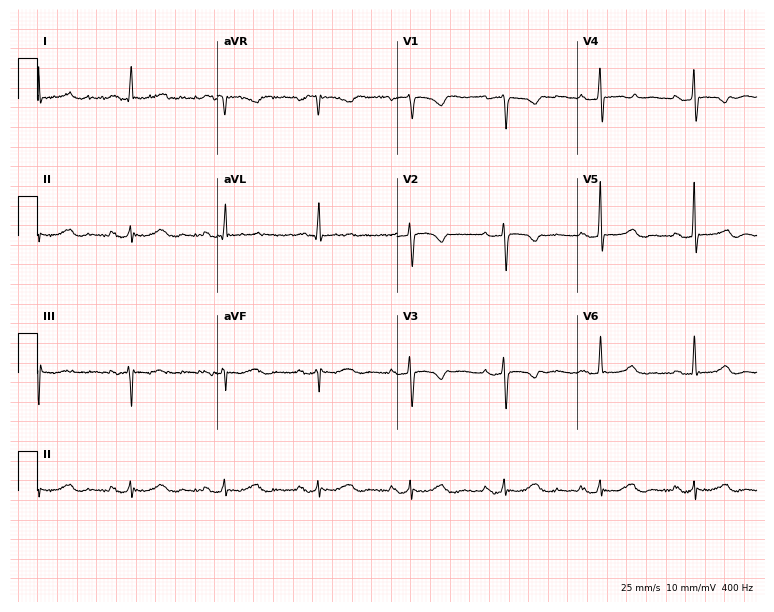
Electrocardiogram, a woman, 60 years old. Of the six screened findings (first-degree AV block, right bundle branch block, left bundle branch block, sinus bradycardia, atrial fibrillation, sinus tachycardia), none is recorded.